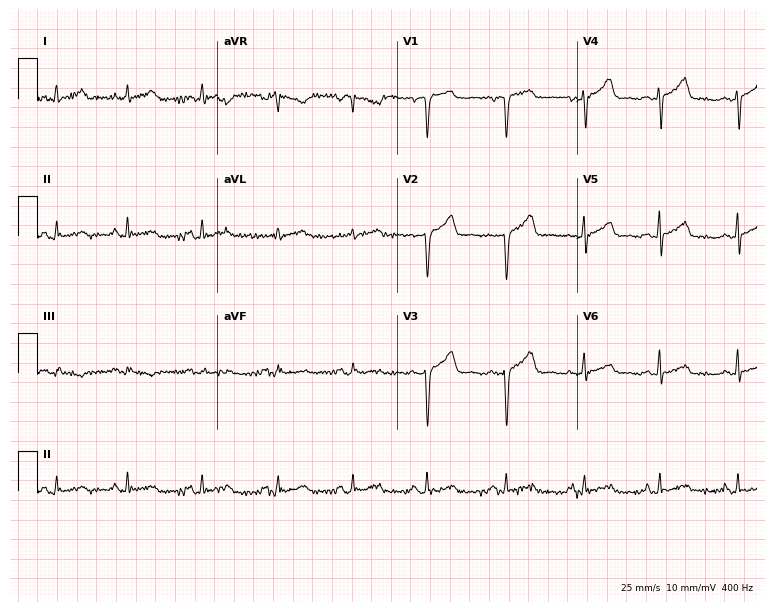
Electrocardiogram (7.3-second recording at 400 Hz), a 54-year-old woman. Of the six screened findings (first-degree AV block, right bundle branch block, left bundle branch block, sinus bradycardia, atrial fibrillation, sinus tachycardia), none is recorded.